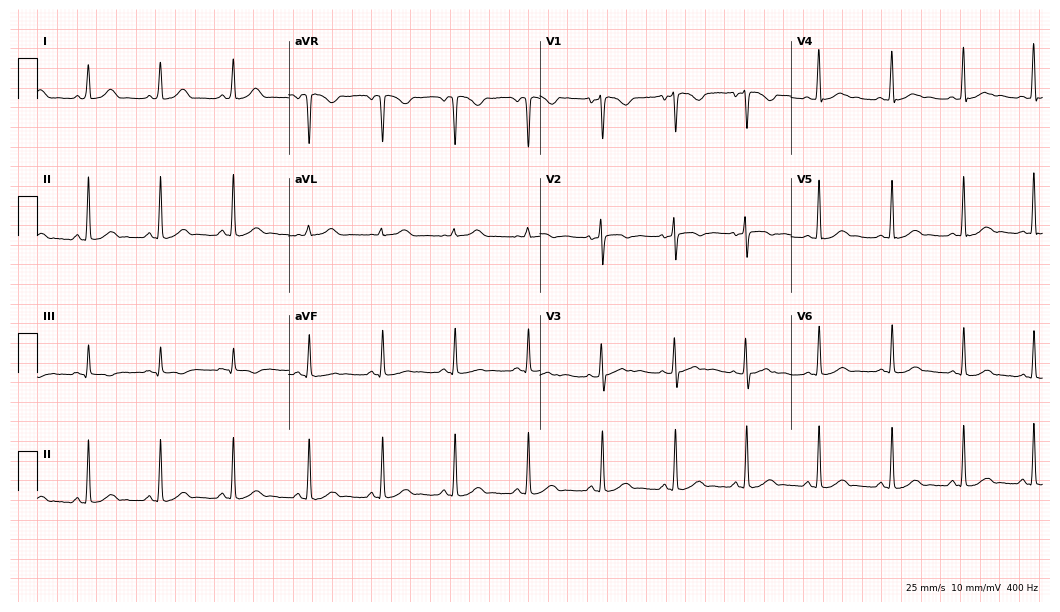
Resting 12-lead electrocardiogram (10.2-second recording at 400 Hz). Patient: a 28-year-old woman. Read as a normal ECG.